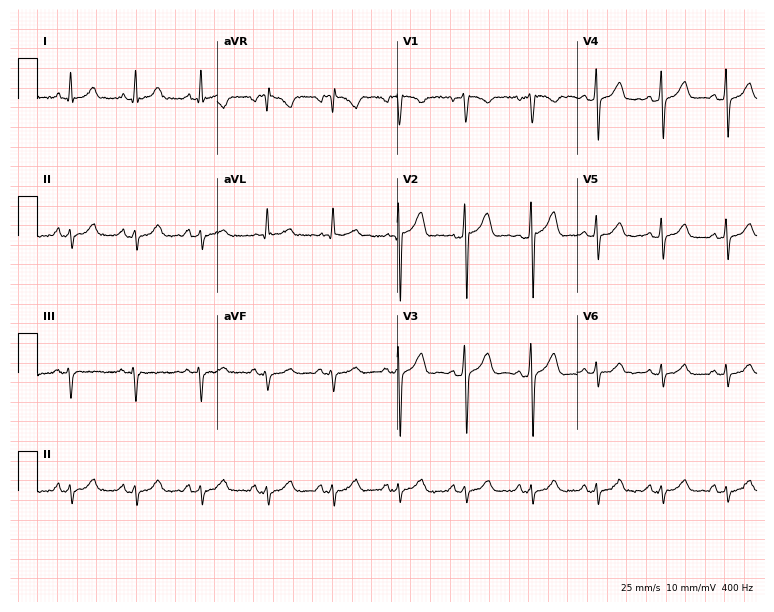
Electrocardiogram (7.3-second recording at 400 Hz), a 64-year-old male patient. Of the six screened findings (first-degree AV block, right bundle branch block (RBBB), left bundle branch block (LBBB), sinus bradycardia, atrial fibrillation (AF), sinus tachycardia), none is recorded. Only these six findings were labelled.